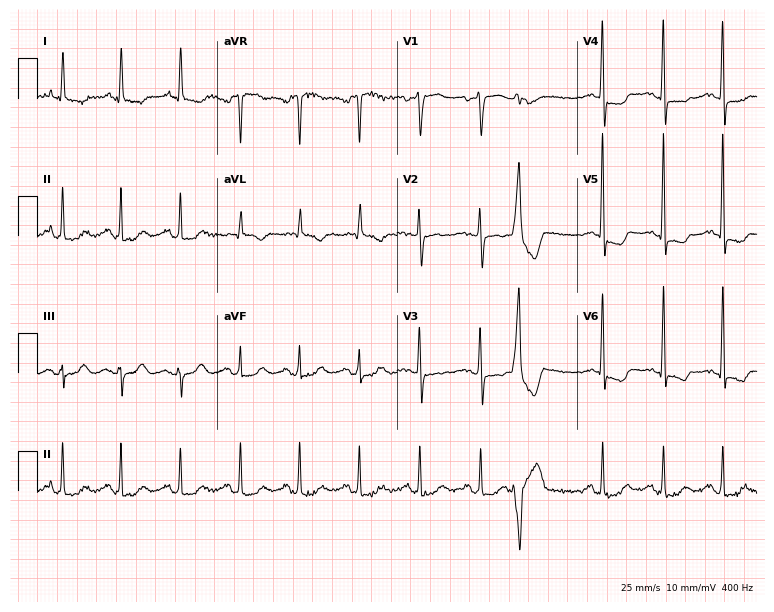
ECG — a 70-year-old male patient. Screened for six findings — first-degree AV block, right bundle branch block, left bundle branch block, sinus bradycardia, atrial fibrillation, sinus tachycardia — none is recorded.